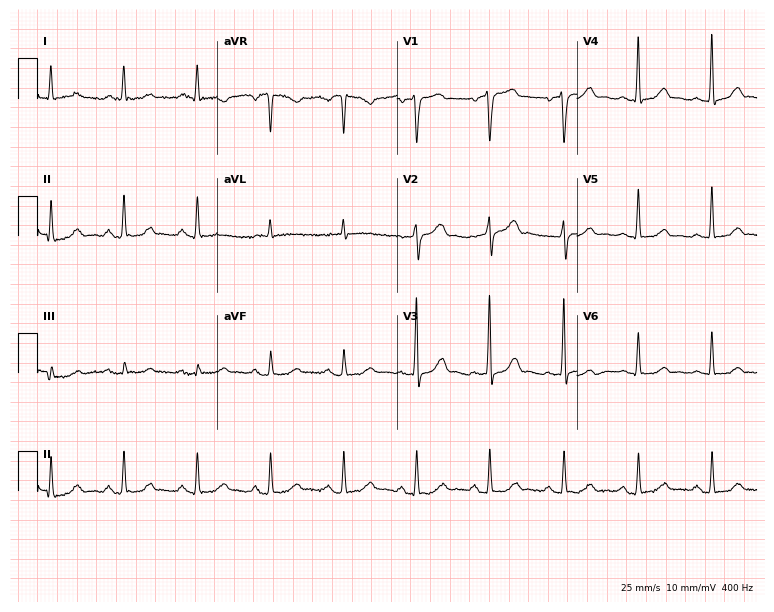
Resting 12-lead electrocardiogram (7.3-second recording at 400 Hz). Patient: a 68-year-old man. Read as a normal ECG.